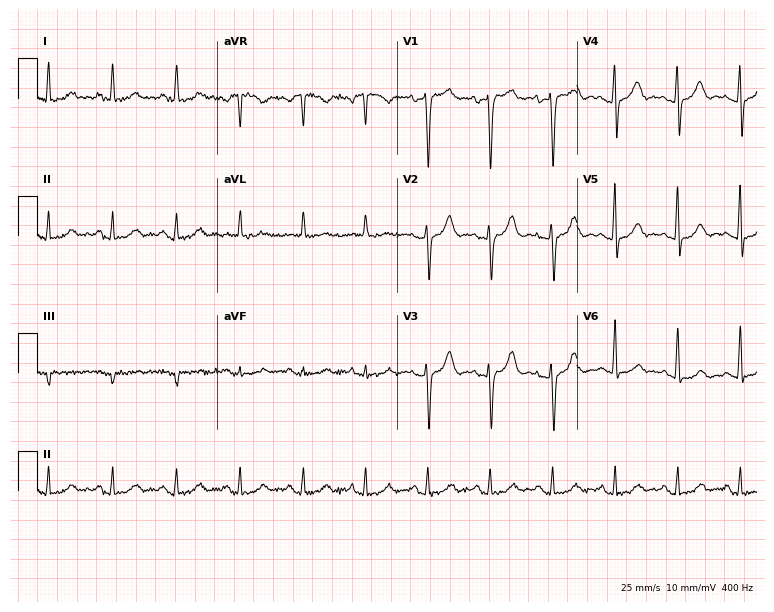
Standard 12-lead ECG recorded from a 53-year-old female patient (7.3-second recording at 400 Hz). Read as a normal ECG.